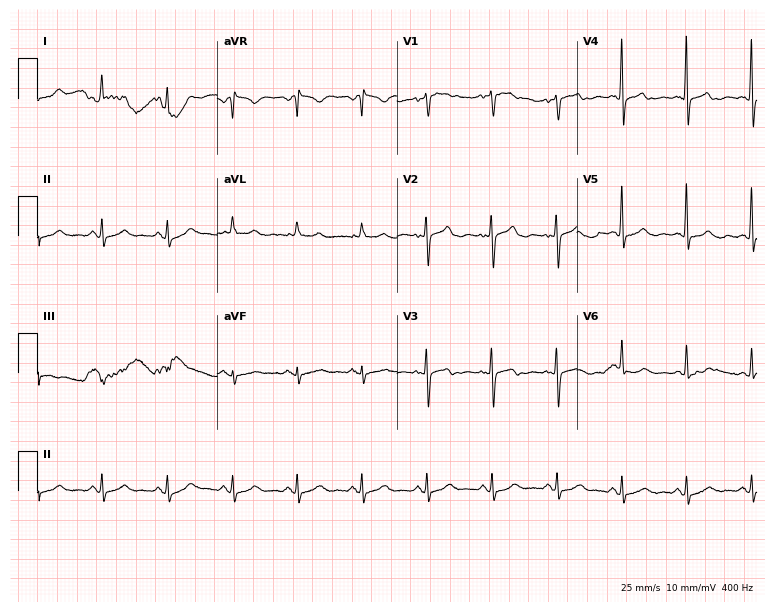
12-lead ECG from a woman, 74 years old. Recorded interpretation: within normal limits.